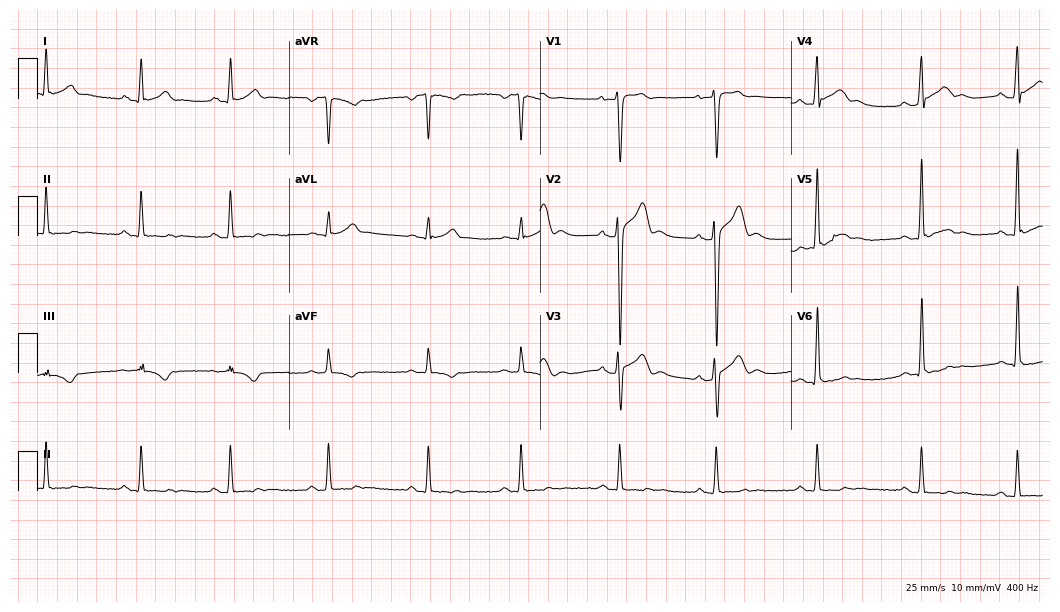
12-lead ECG from a 30-year-old male patient. Screened for six findings — first-degree AV block, right bundle branch block (RBBB), left bundle branch block (LBBB), sinus bradycardia, atrial fibrillation (AF), sinus tachycardia — none is recorded. Findings outside these six are not listed.